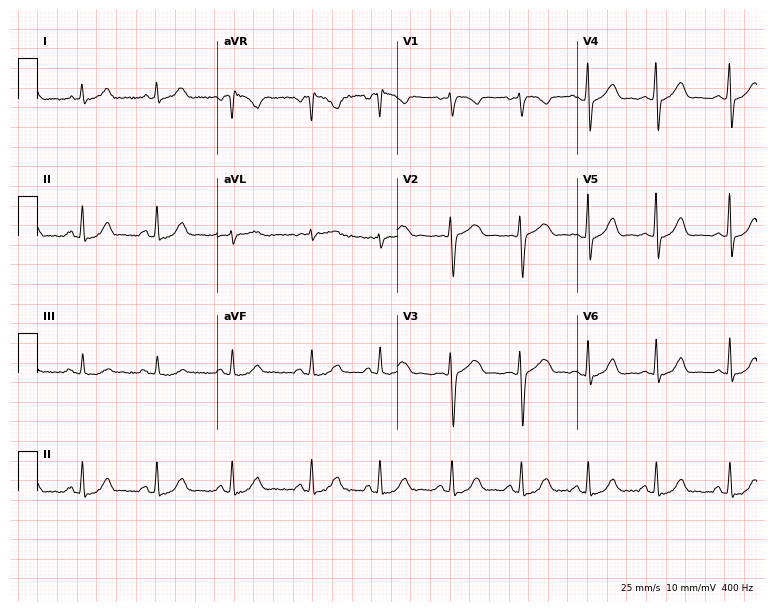
Electrocardiogram (7.3-second recording at 400 Hz), a female, 35 years old. Of the six screened findings (first-degree AV block, right bundle branch block, left bundle branch block, sinus bradycardia, atrial fibrillation, sinus tachycardia), none is recorded.